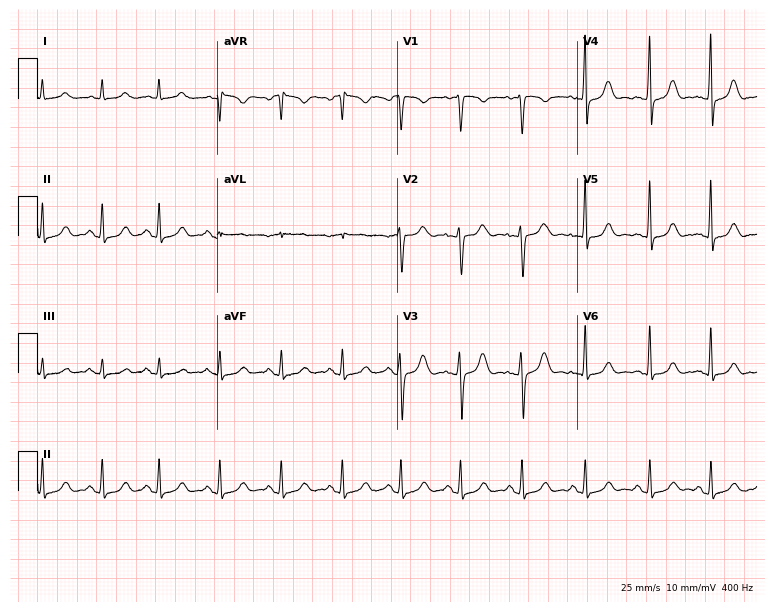
Electrocardiogram (7.3-second recording at 400 Hz), a female, 26 years old. Overall reading on record: normal ECG.